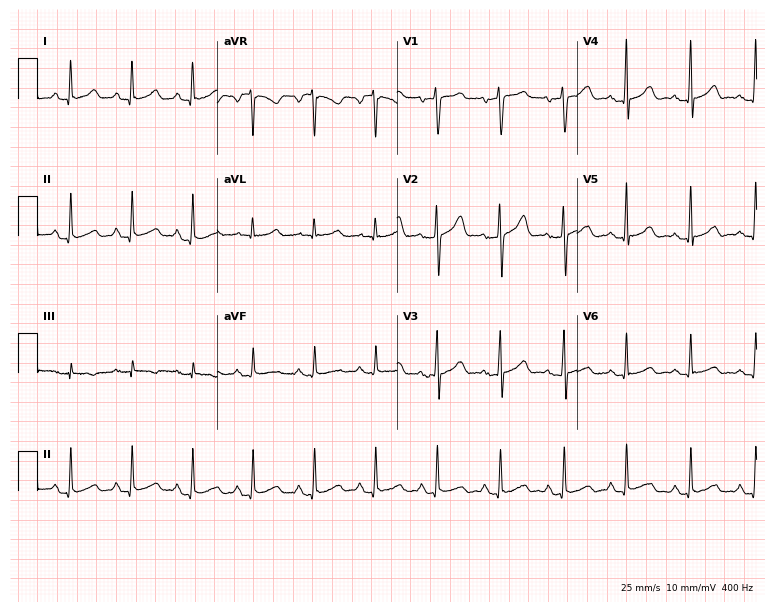
Electrocardiogram, a 39-year-old female patient. Overall reading on record: normal ECG.